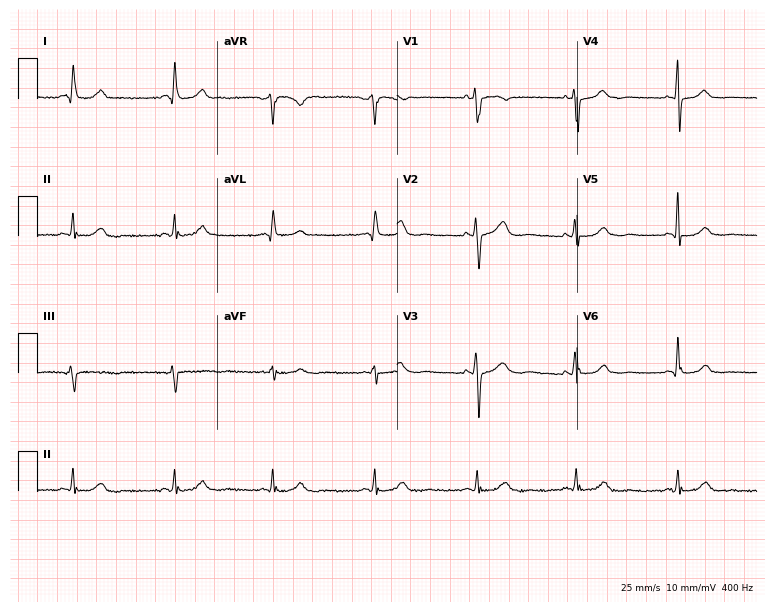
12-lead ECG from a woman, 59 years old (7.3-second recording at 400 Hz). Recorded interpretation: within normal limits.